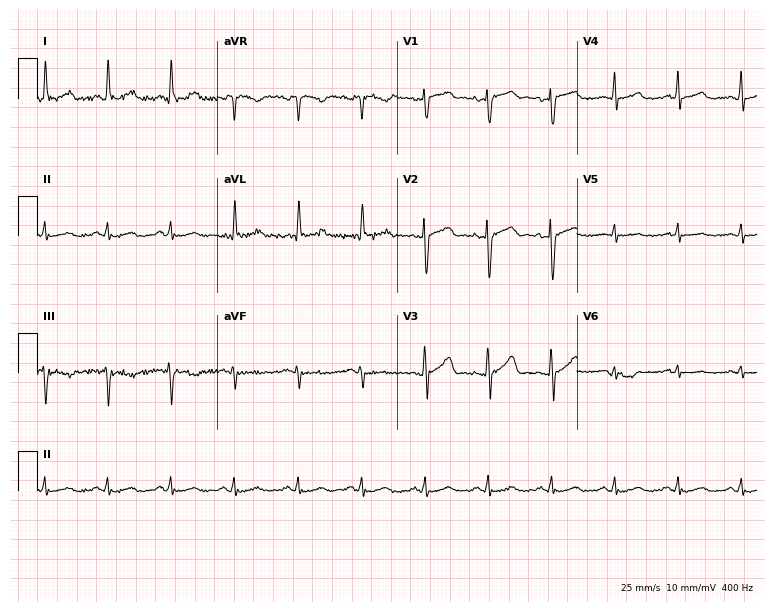
Electrocardiogram (7.3-second recording at 400 Hz), a 63-year-old female. Of the six screened findings (first-degree AV block, right bundle branch block, left bundle branch block, sinus bradycardia, atrial fibrillation, sinus tachycardia), none is recorded.